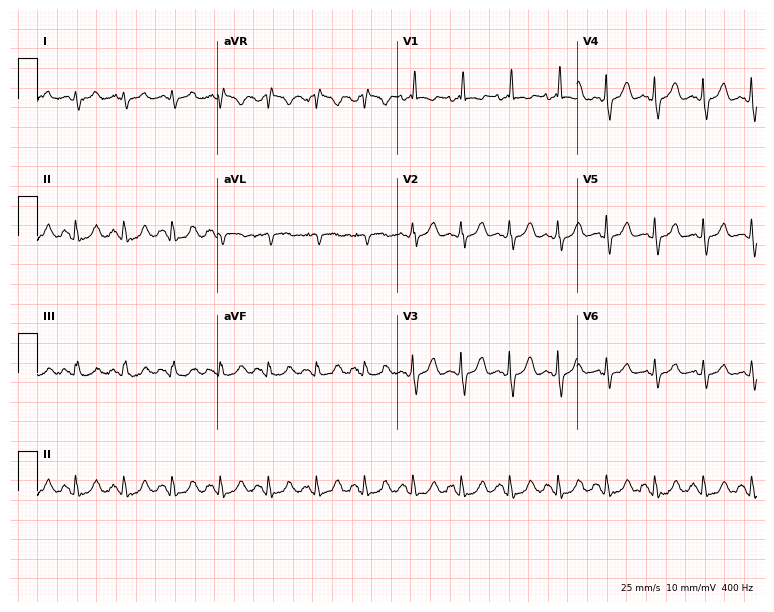
Standard 12-lead ECG recorded from a male patient, 60 years old. The tracing shows sinus tachycardia (a sinus rate of 100 beats per minute or more).